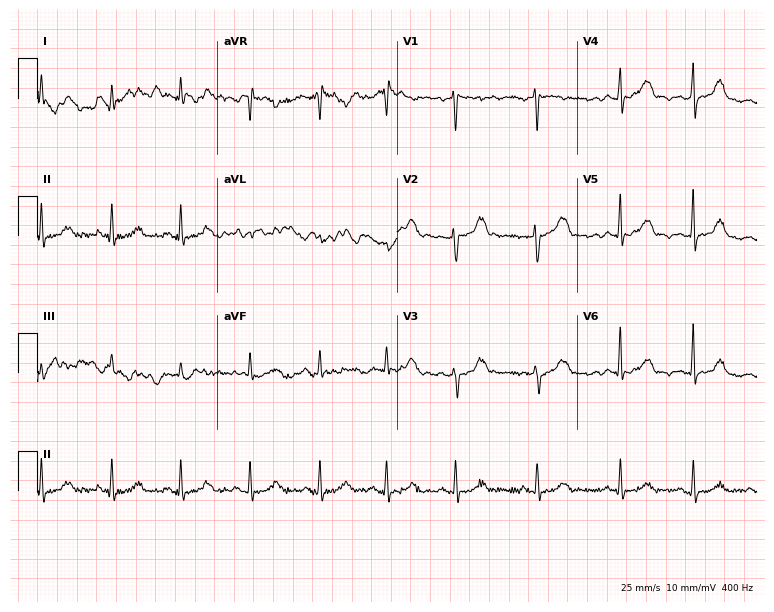
ECG — a 33-year-old female. Screened for six findings — first-degree AV block, right bundle branch block, left bundle branch block, sinus bradycardia, atrial fibrillation, sinus tachycardia — none is recorded. Findings outside these six are not listed.